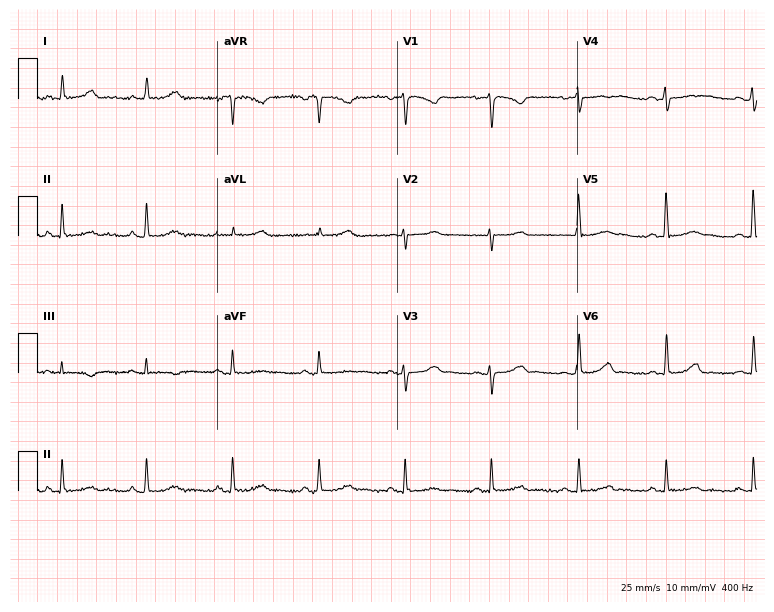
Resting 12-lead electrocardiogram. Patient: a 40-year-old woman. None of these six findings is recorded: first-degree AV block, right bundle branch block, left bundle branch block, sinus bradycardia, atrial fibrillation, sinus tachycardia.